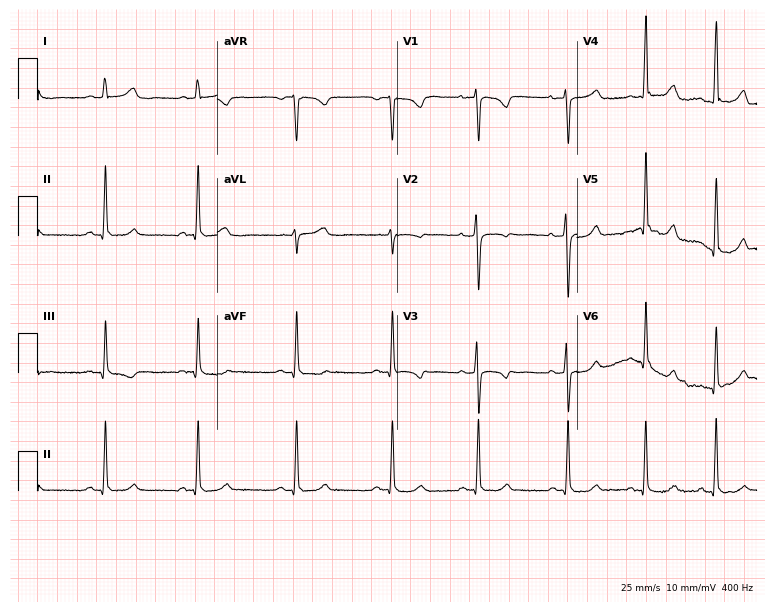
Standard 12-lead ECG recorded from a 25-year-old female. None of these six findings is recorded: first-degree AV block, right bundle branch block (RBBB), left bundle branch block (LBBB), sinus bradycardia, atrial fibrillation (AF), sinus tachycardia.